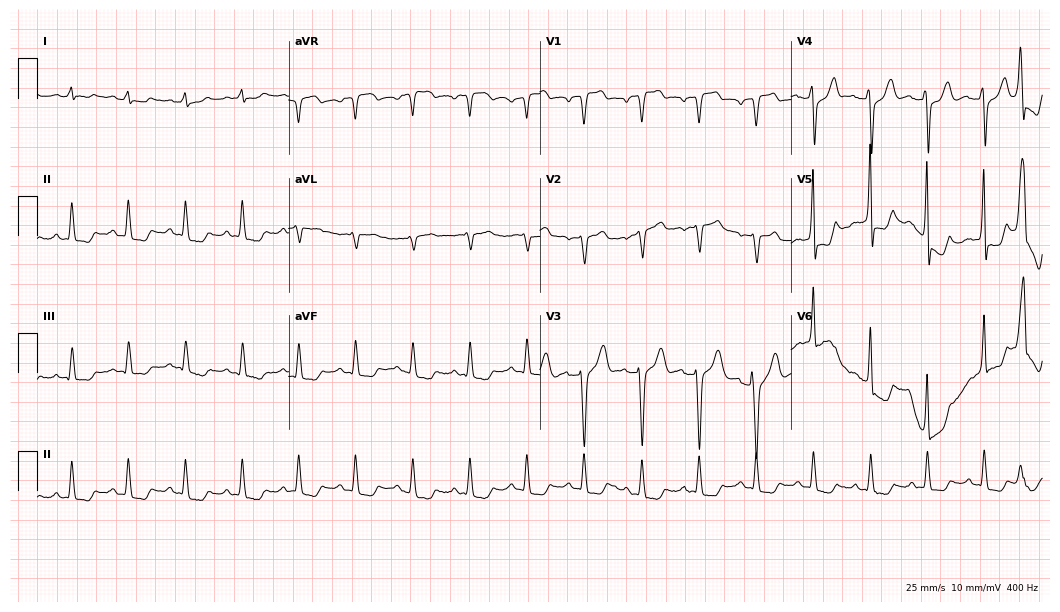
12-lead ECG (10.2-second recording at 400 Hz) from a man, 79 years old. Screened for six findings — first-degree AV block, right bundle branch block, left bundle branch block, sinus bradycardia, atrial fibrillation, sinus tachycardia — none is recorded.